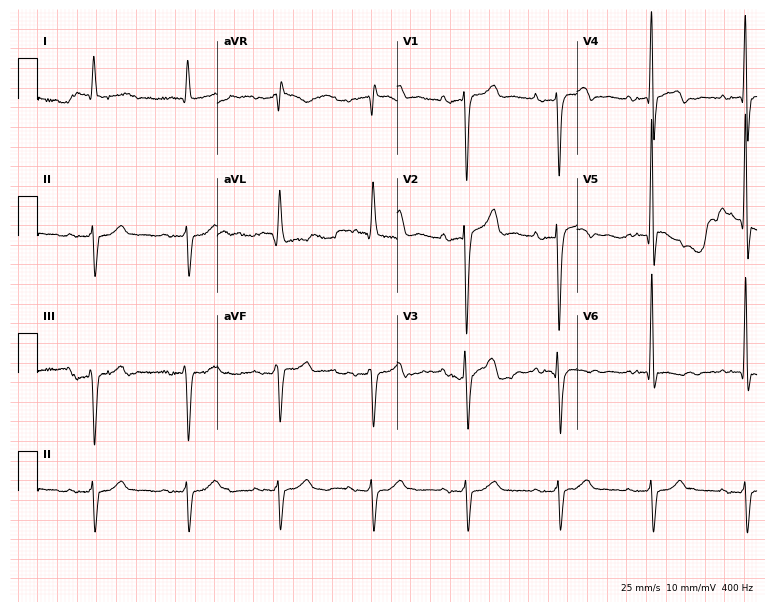
12-lead ECG from a male patient, 53 years old (7.3-second recording at 400 Hz). No first-degree AV block, right bundle branch block, left bundle branch block, sinus bradycardia, atrial fibrillation or sinus tachycardia recorded for this tracing.